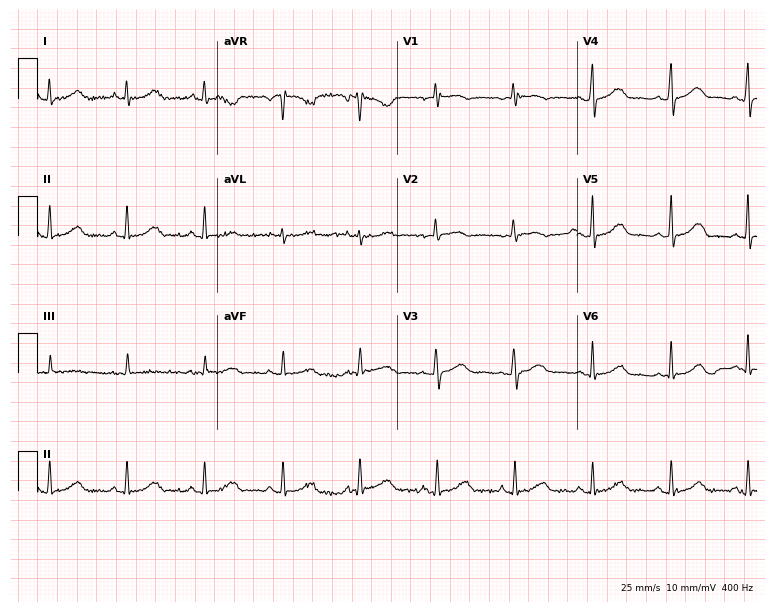
Resting 12-lead electrocardiogram. Patient: a 39-year-old woman. Read as a normal ECG.